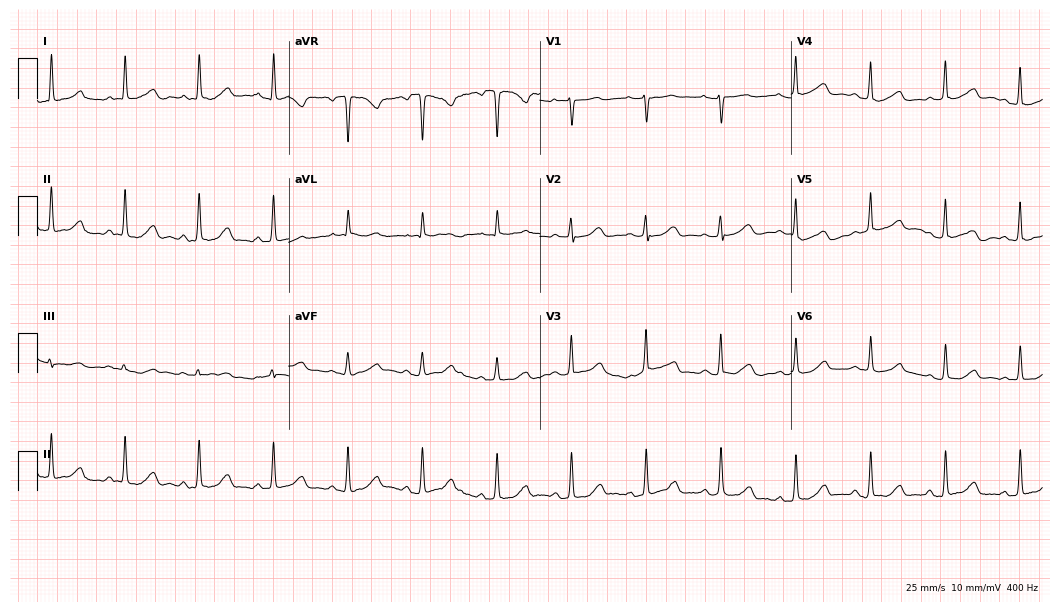
Resting 12-lead electrocardiogram (10.2-second recording at 400 Hz). Patient: a female, 63 years old. None of these six findings is recorded: first-degree AV block, right bundle branch block (RBBB), left bundle branch block (LBBB), sinus bradycardia, atrial fibrillation (AF), sinus tachycardia. Only these six findings were labelled.